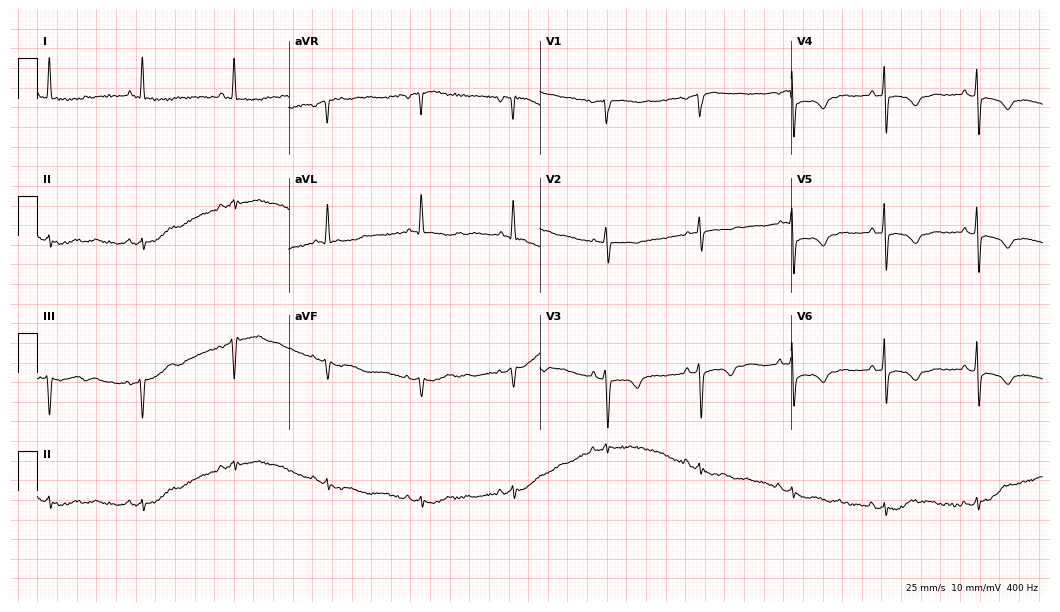
ECG (10.2-second recording at 400 Hz) — an 83-year-old female patient. Screened for six findings — first-degree AV block, right bundle branch block, left bundle branch block, sinus bradycardia, atrial fibrillation, sinus tachycardia — none is recorded. Findings outside these six are not listed.